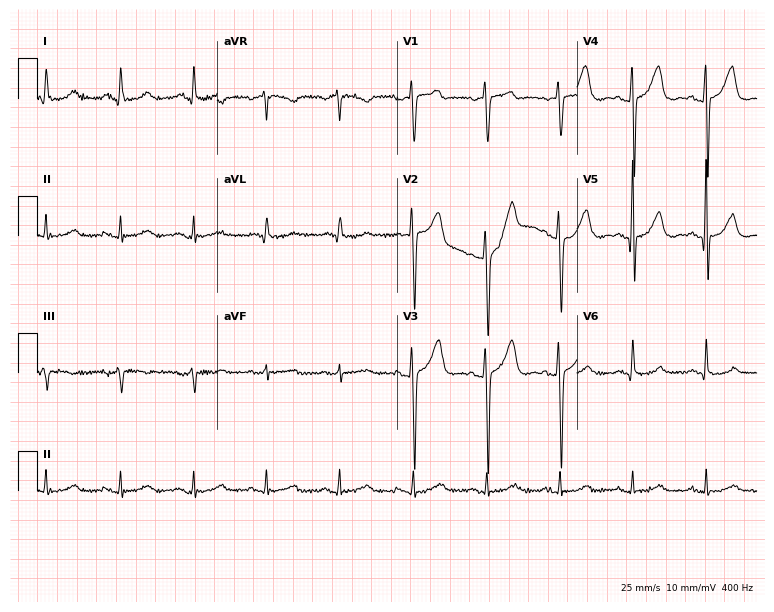
ECG — a woman, 68 years old. Labelled as a normal ECG.